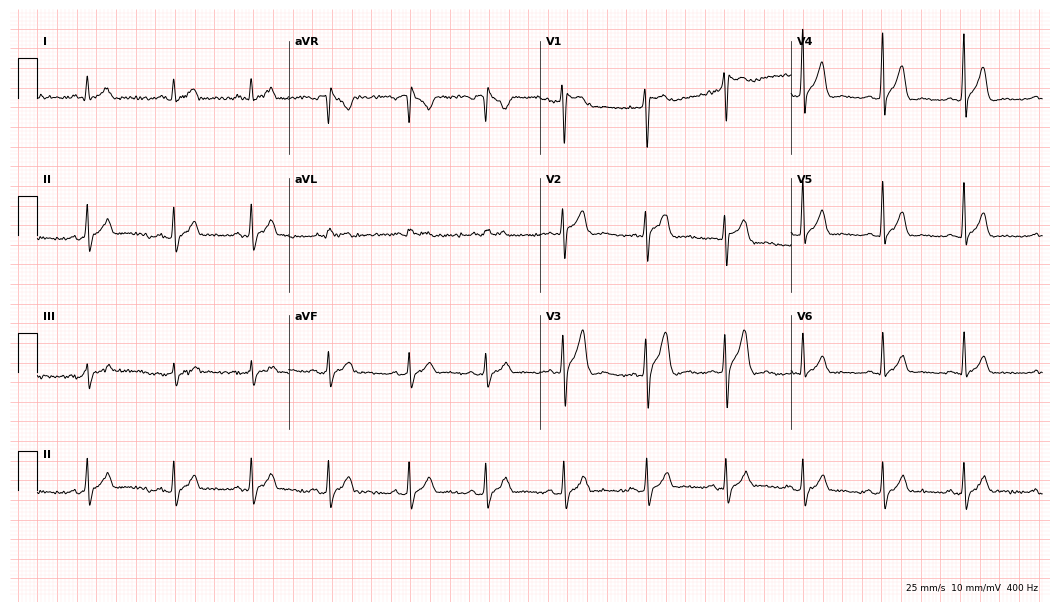
Electrocardiogram, a 22-year-old male patient. Of the six screened findings (first-degree AV block, right bundle branch block, left bundle branch block, sinus bradycardia, atrial fibrillation, sinus tachycardia), none is recorded. Other findings, if any, are not listed.